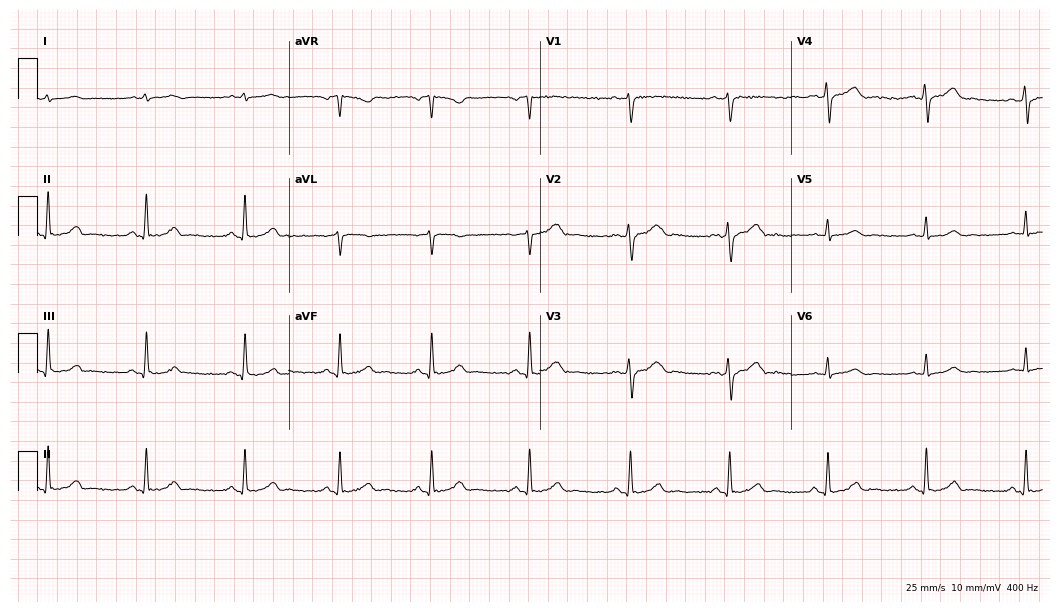
12-lead ECG from a 28-year-old male. Recorded interpretation: within normal limits.